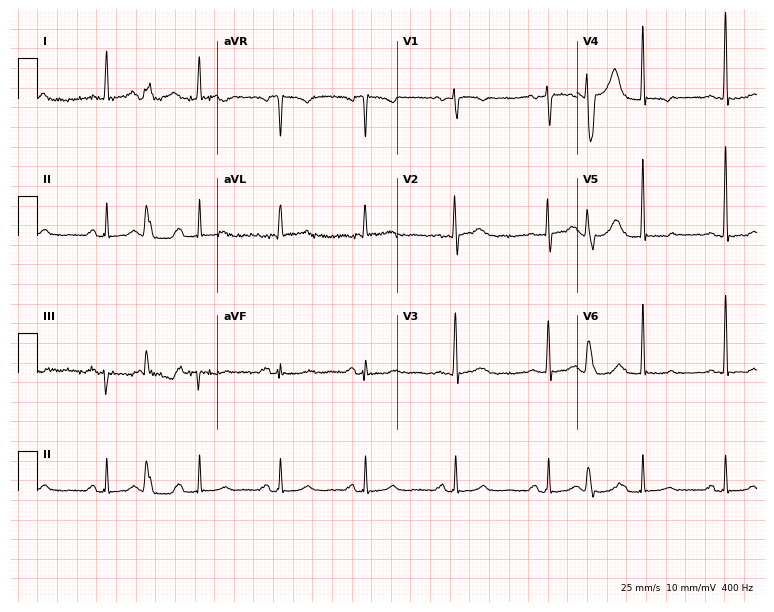
Resting 12-lead electrocardiogram. Patient: a female, 62 years old. None of these six findings is recorded: first-degree AV block, right bundle branch block (RBBB), left bundle branch block (LBBB), sinus bradycardia, atrial fibrillation (AF), sinus tachycardia. Other findings, if any, are not listed.